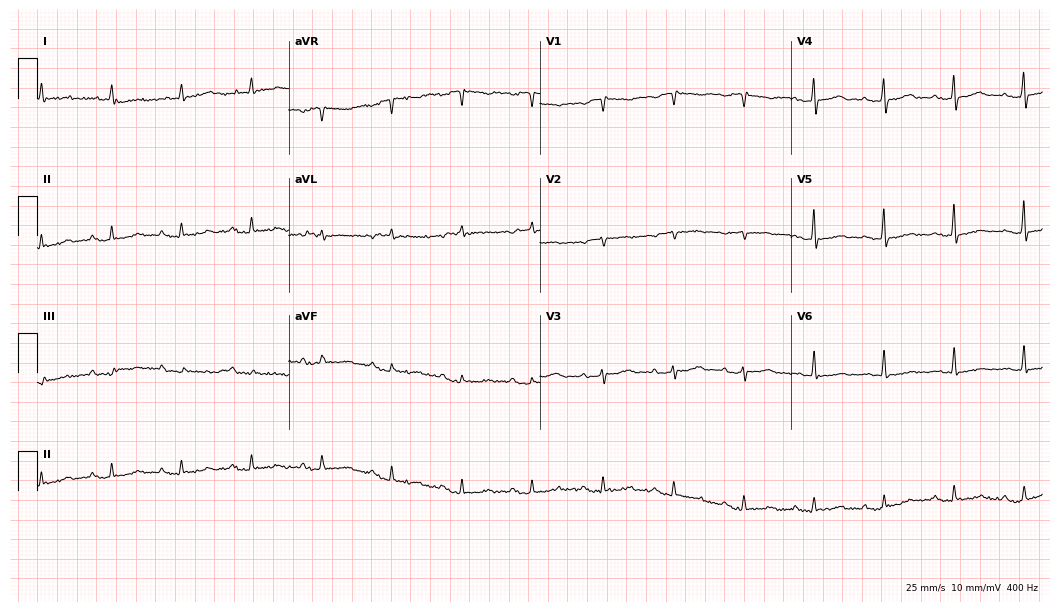
12-lead ECG from a 79-year-old woman (10.2-second recording at 400 Hz). Shows first-degree AV block.